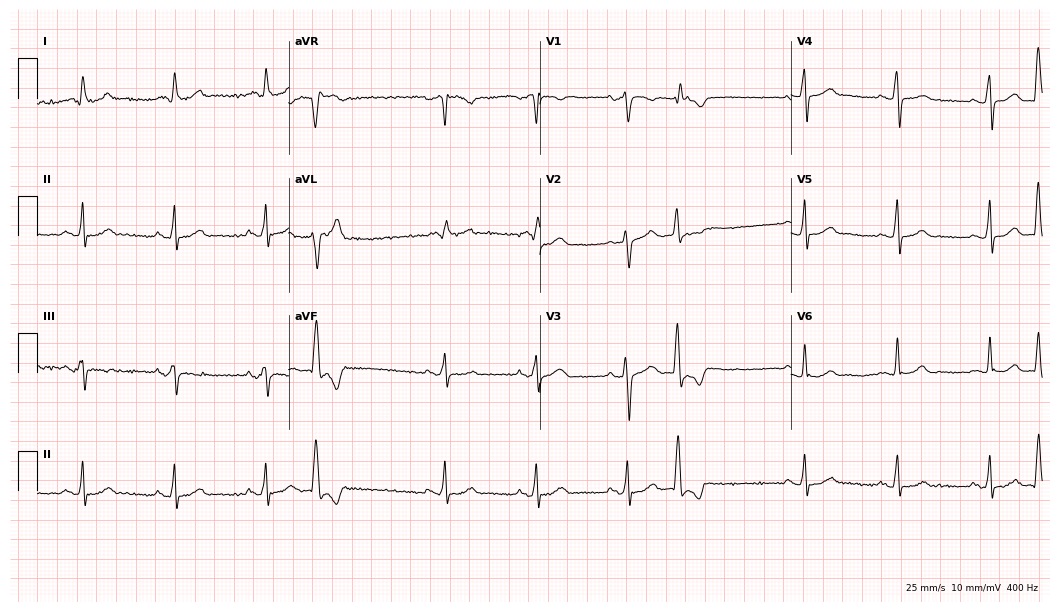
12-lead ECG from a female patient, 76 years old. Screened for six findings — first-degree AV block, right bundle branch block, left bundle branch block, sinus bradycardia, atrial fibrillation, sinus tachycardia — none is recorded.